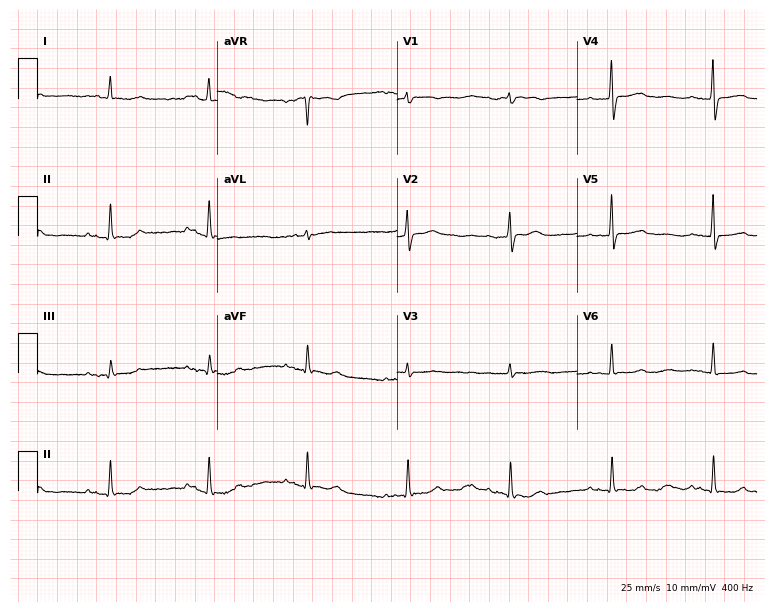
Resting 12-lead electrocardiogram (7.3-second recording at 400 Hz). Patient: an 82-year-old woman. None of these six findings is recorded: first-degree AV block, right bundle branch block (RBBB), left bundle branch block (LBBB), sinus bradycardia, atrial fibrillation (AF), sinus tachycardia. Findings outside these six are not listed.